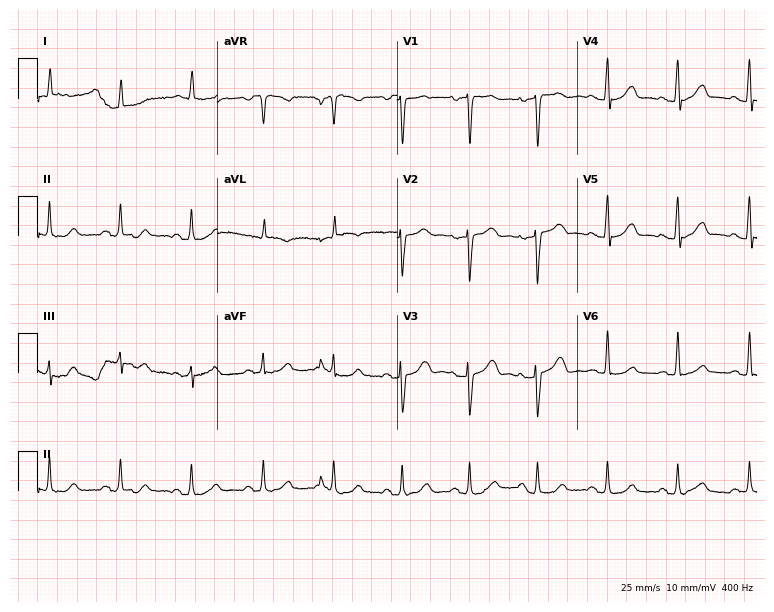
12-lead ECG from an 81-year-old female. Labelled as a normal ECG.